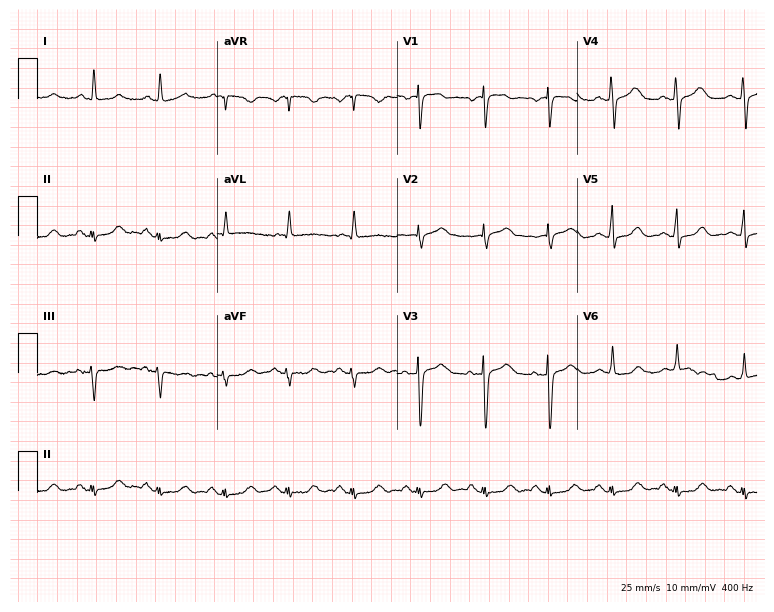
Resting 12-lead electrocardiogram (7.3-second recording at 400 Hz). Patient: a woman, 53 years old. None of these six findings is recorded: first-degree AV block, right bundle branch block, left bundle branch block, sinus bradycardia, atrial fibrillation, sinus tachycardia. Findings outside these six are not listed.